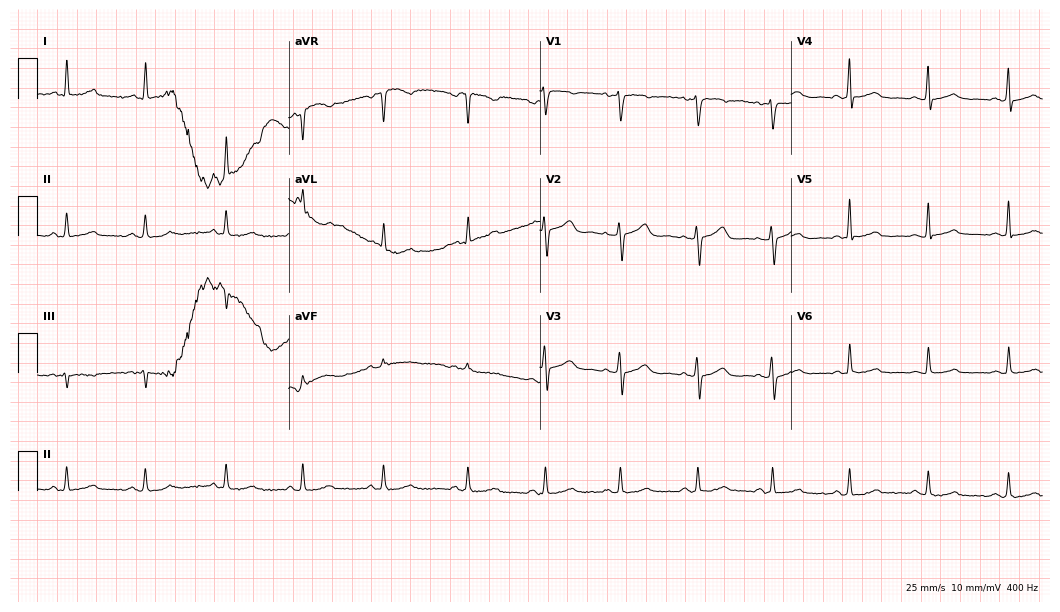
Electrocardiogram, a female, 49 years old. Overall reading on record: normal ECG.